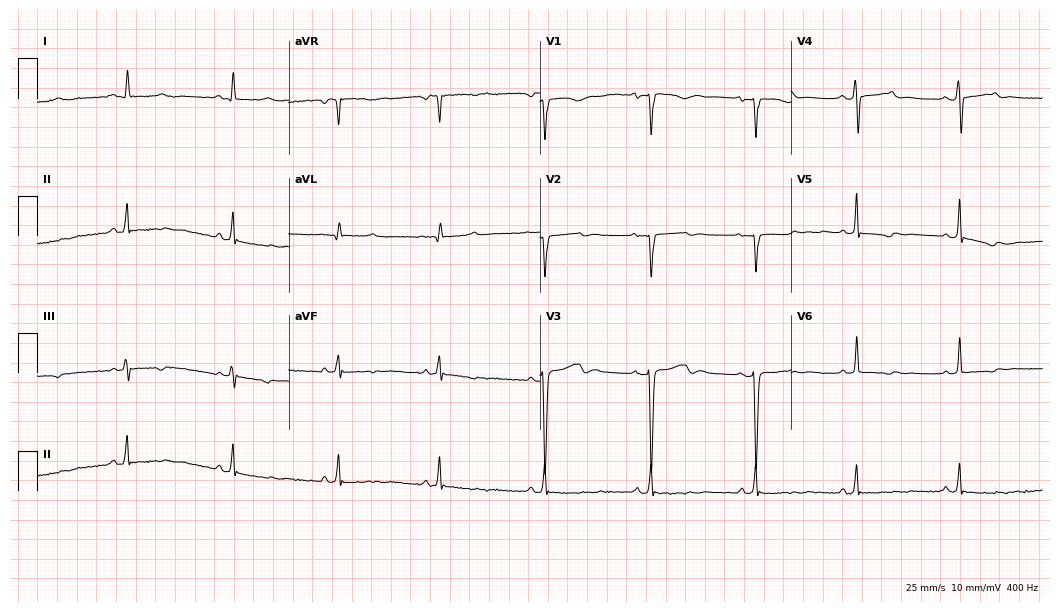
Standard 12-lead ECG recorded from a female, 34 years old (10.2-second recording at 400 Hz). None of these six findings is recorded: first-degree AV block, right bundle branch block, left bundle branch block, sinus bradycardia, atrial fibrillation, sinus tachycardia.